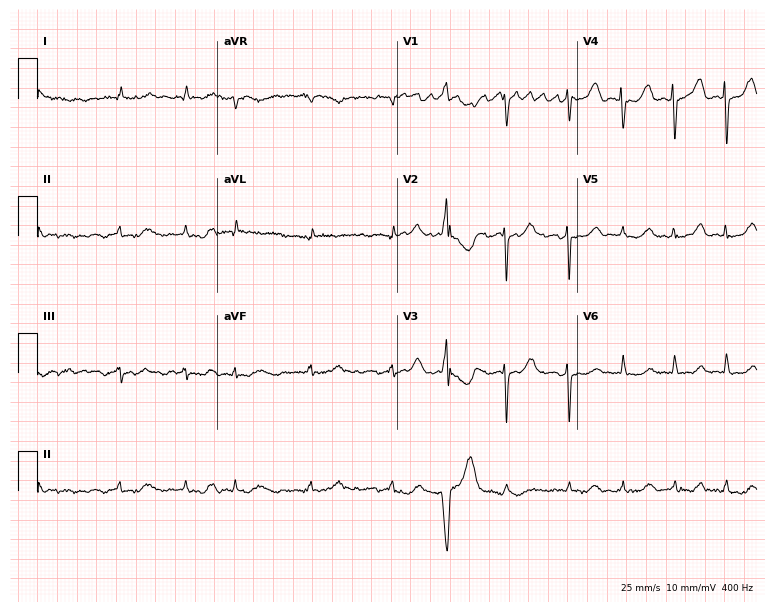
Electrocardiogram, a 79-year-old female patient. Interpretation includes atrial fibrillation.